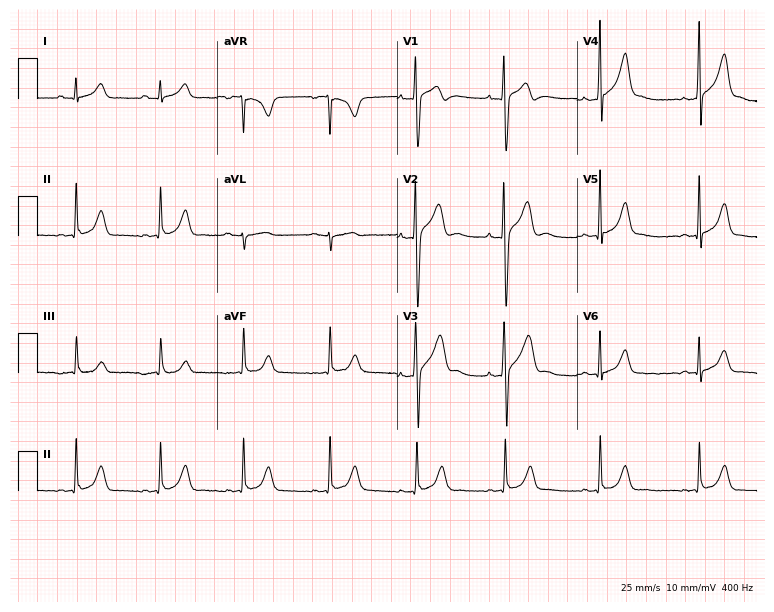
ECG (7.3-second recording at 400 Hz) — a male patient, 18 years old. Labelled as a normal ECG.